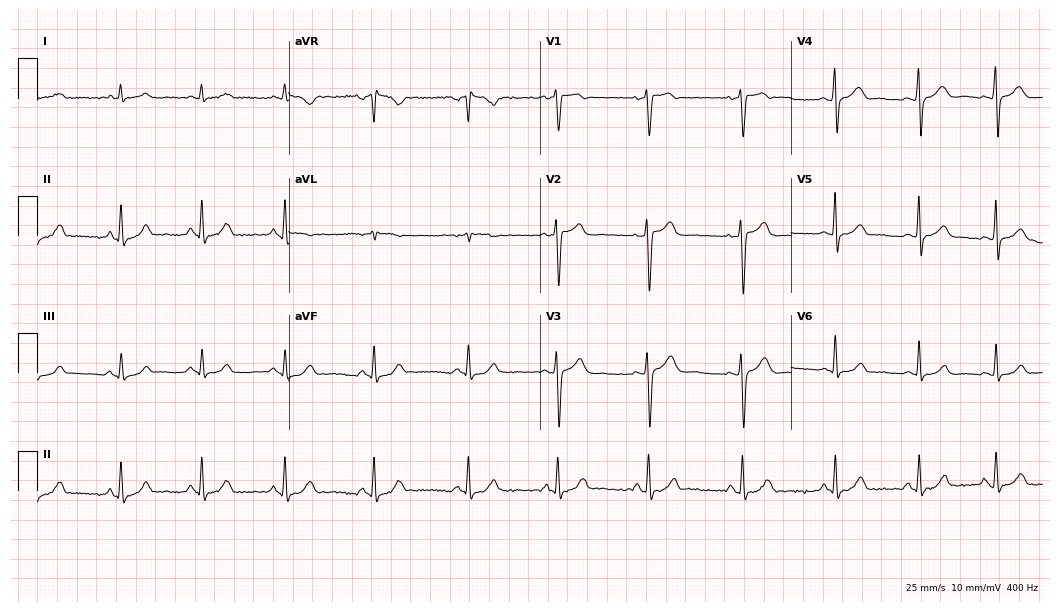
ECG — a female, 50 years old. Labelled as a normal ECG.